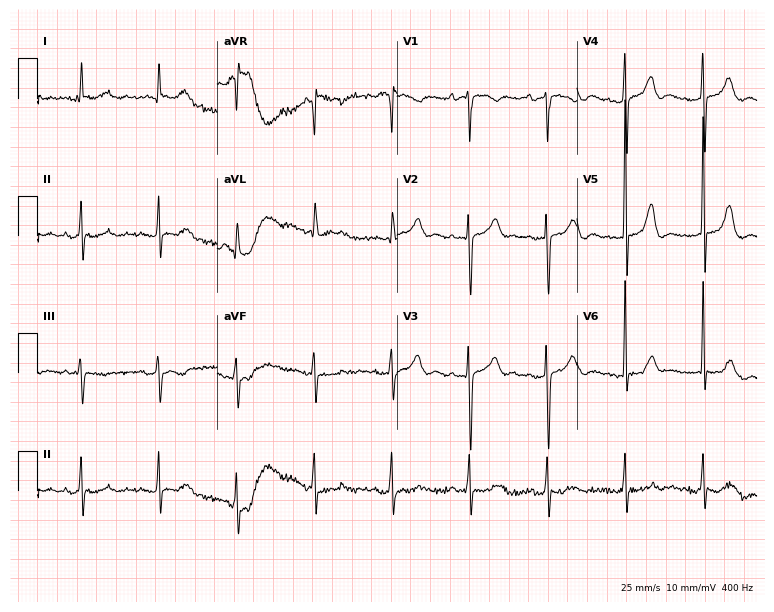
Resting 12-lead electrocardiogram (7.3-second recording at 400 Hz). Patient: a female, 81 years old. None of these six findings is recorded: first-degree AV block, right bundle branch block, left bundle branch block, sinus bradycardia, atrial fibrillation, sinus tachycardia. Only these six findings were labelled.